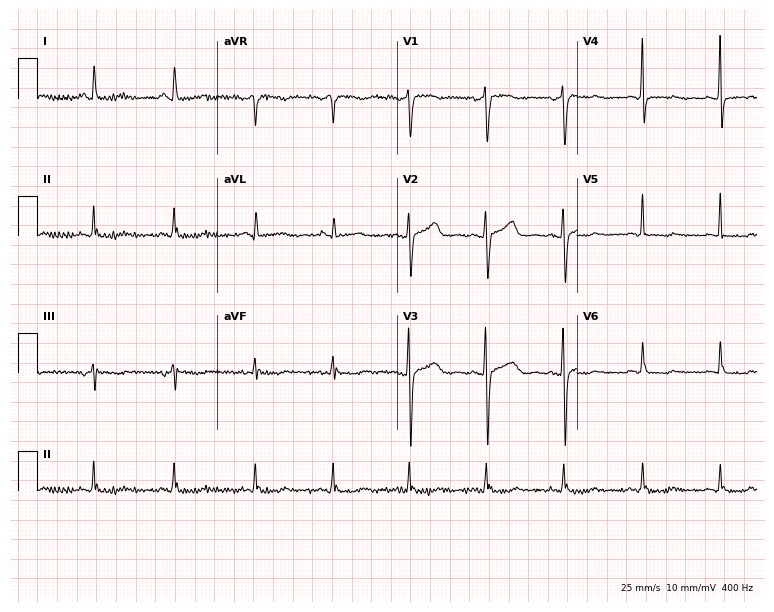
Resting 12-lead electrocardiogram (7.3-second recording at 400 Hz). Patient: a 51-year-old woman. None of these six findings is recorded: first-degree AV block, right bundle branch block, left bundle branch block, sinus bradycardia, atrial fibrillation, sinus tachycardia. Only these six findings were labelled.